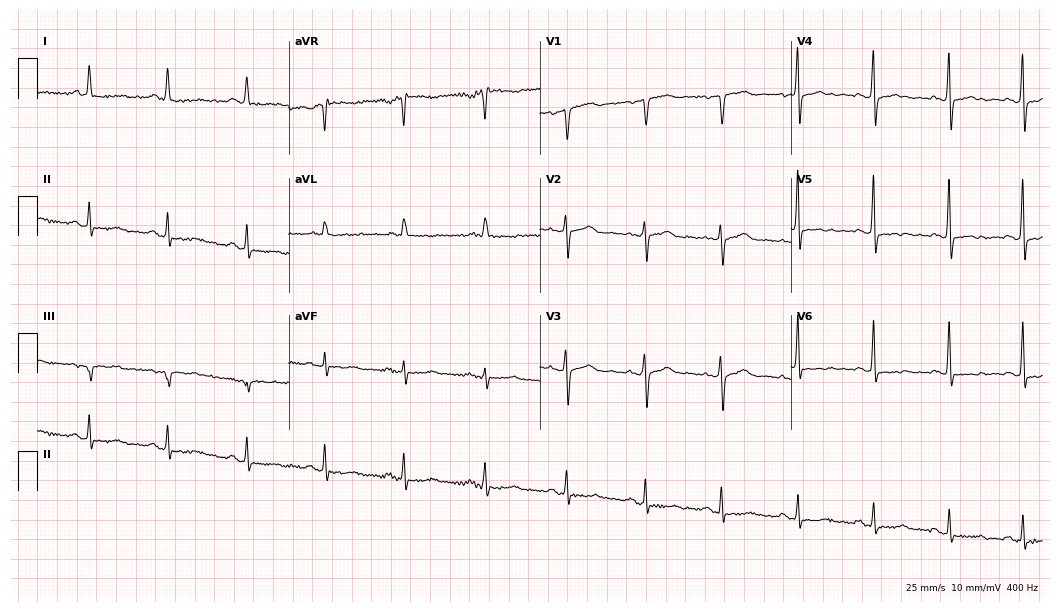
ECG — a 65-year-old female. Screened for six findings — first-degree AV block, right bundle branch block, left bundle branch block, sinus bradycardia, atrial fibrillation, sinus tachycardia — none is recorded. Only these six findings were labelled.